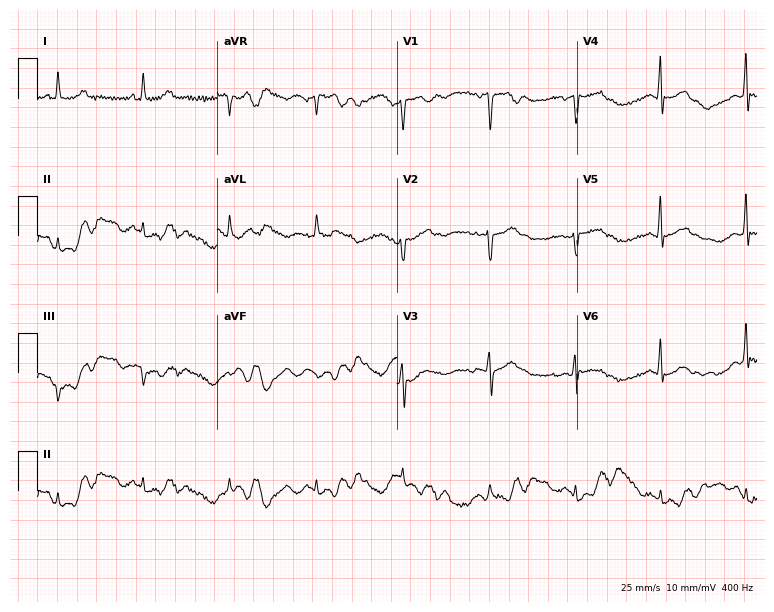
Standard 12-lead ECG recorded from a woman, 34 years old (7.3-second recording at 400 Hz). None of these six findings is recorded: first-degree AV block, right bundle branch block (RBBB), left bundle branch block (LBBB), sinus bradycardia, atrial fibrillation (AF), sinus tachycardia. Findings outside these six are not listed.